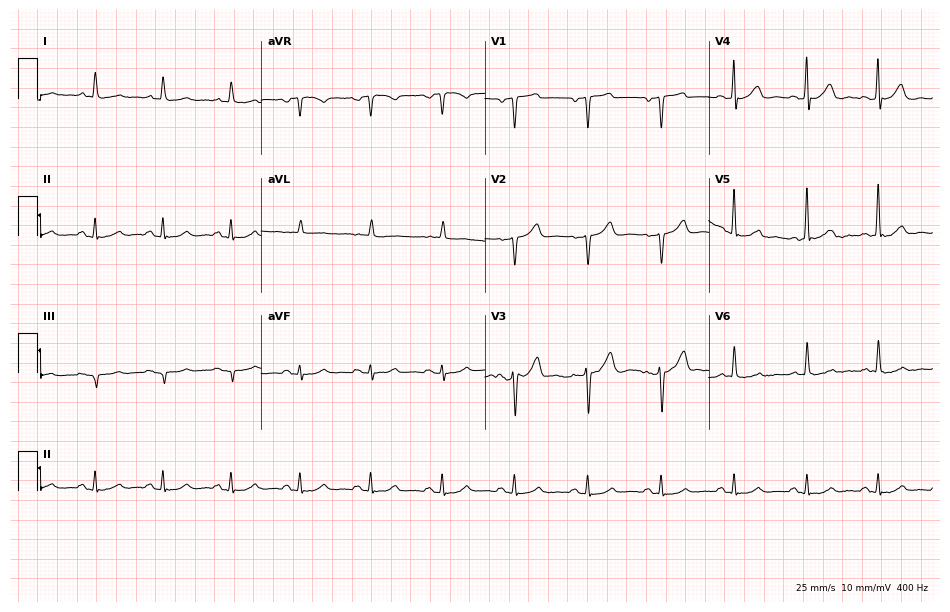
12-lead ECG from a 66-year-old man. Recorded interpretation: within normal limits.